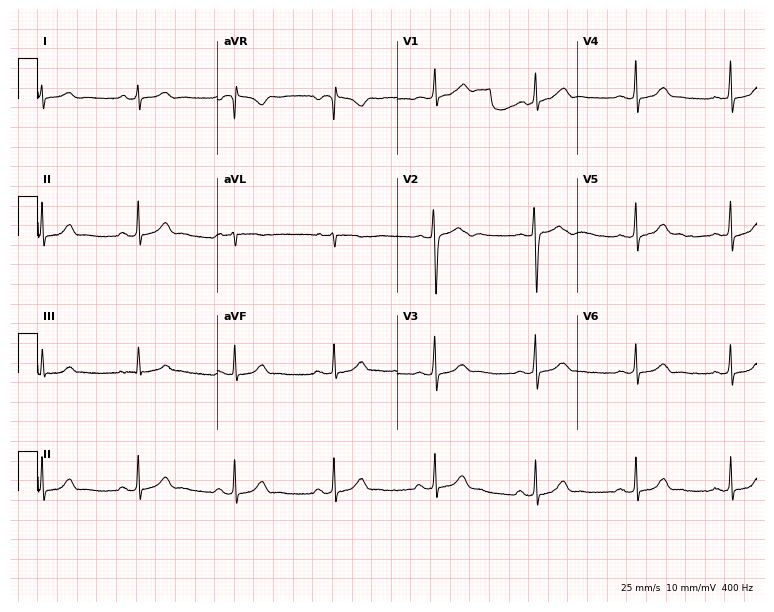
Electrocardiogram, a female patient, 25 years old. Of the six screened findings (first-degree AV block, right bundle branch block (RBBB), left bundle branch block (LBBB), sinus bradycardia, atrial fibrillation (AF), sinus tachycardia), none is recorded.